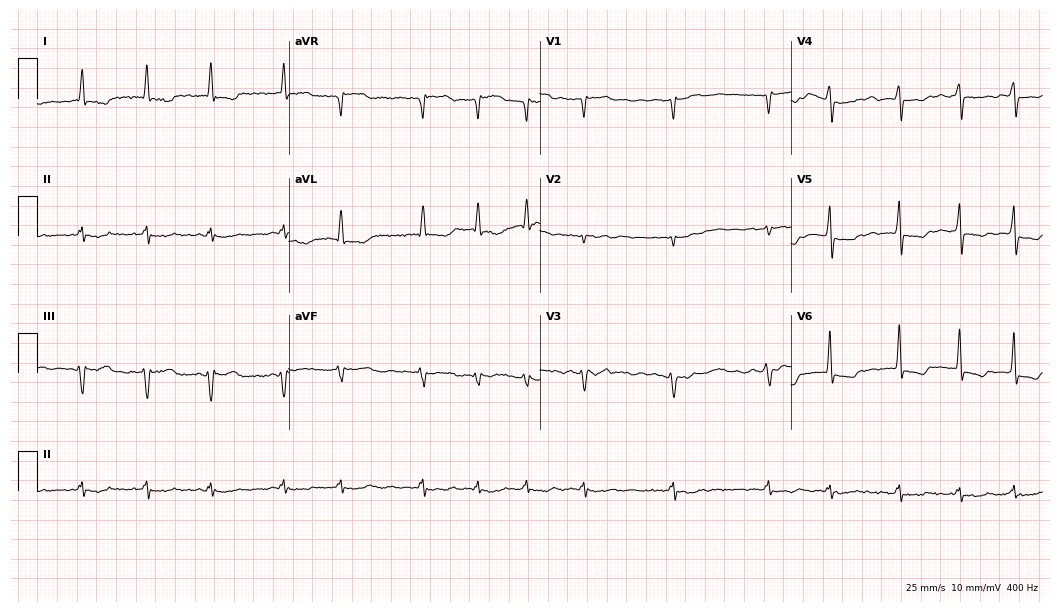
Standard 12-lead ECG recorded from a 56-year-old female. The tracing shows atrial fibrillation.